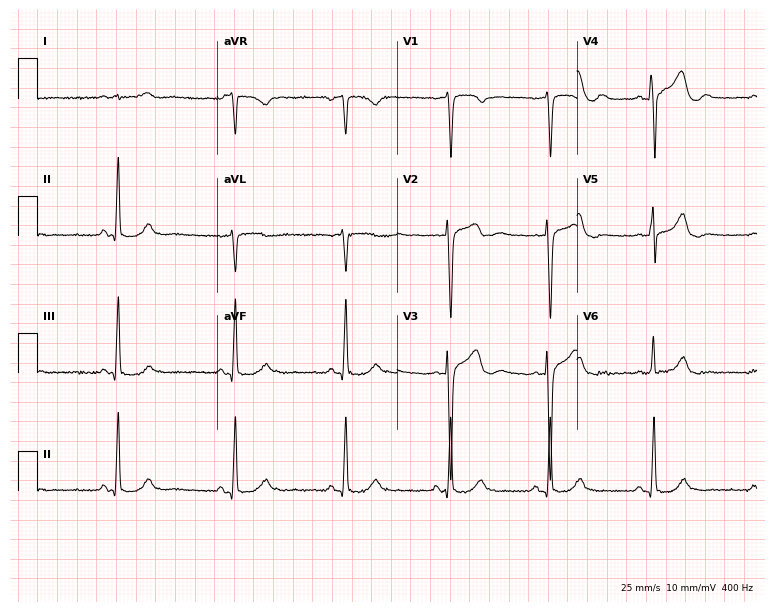
Electrocardiogram (7.3-second recording at 400 Hz), a male, 55 years old. Of the six screened findings (first-degree AV block, right bundle branch block (RBBB), left bundle branch block (LBBB), sinus bradycardia, atrial fibrillation (AF), sinus tachycardia), none is recorded. Findings outside these six are not listed.